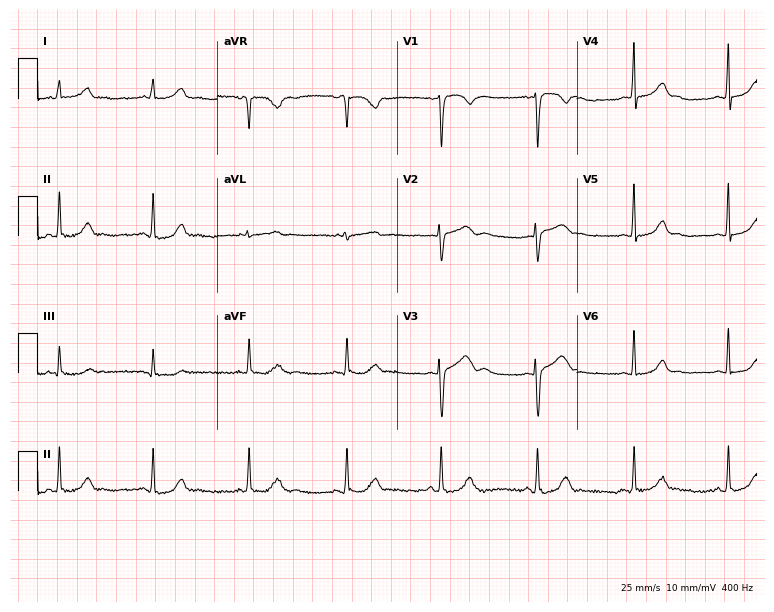
12-lead ECG from a 38-year-old woman. Labelled as a normal ECG.